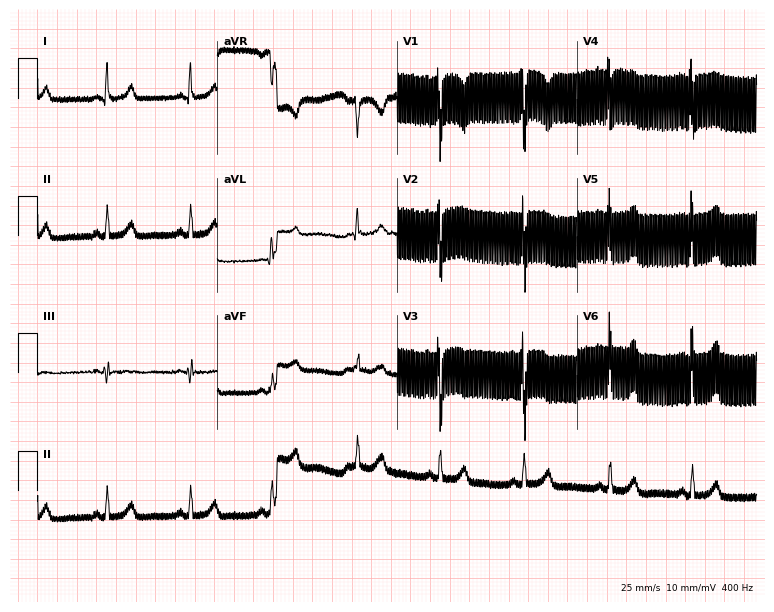
Standard 12-lead ECG recorded from a 41-year-old female. None of these six findings is recorded: first-degree AV block, right bundle branch block, left bundle branch block, sinus bradycardia, atrial fibrillation, sinus tachycardia.